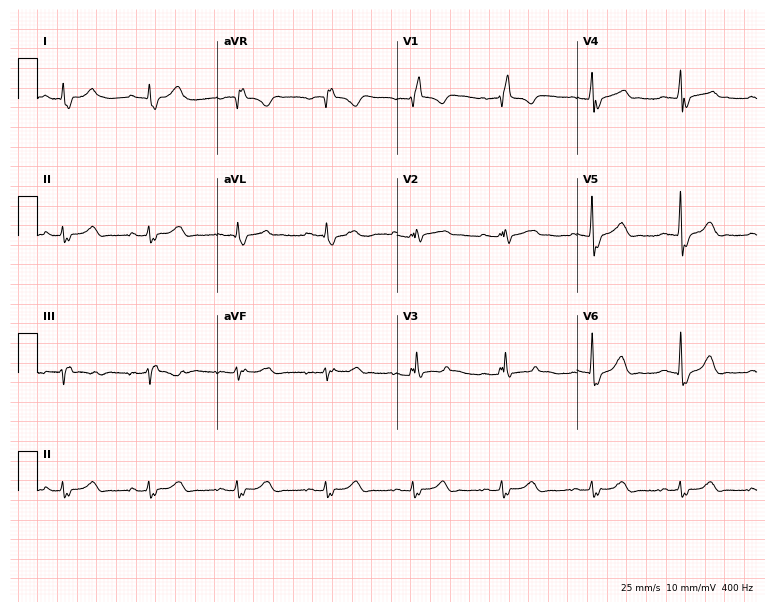
Resting 12-lead electrocardiogram (7.3-second recording at 400 Hz). Patient: a female, 43 years old. None of these six findings is recorded: first-degree AV block, right bundle branch block, left bundle branch block, sinus bradycardia, atrial fibrillation, sinus tachycardia. Only these six findings were labelled.